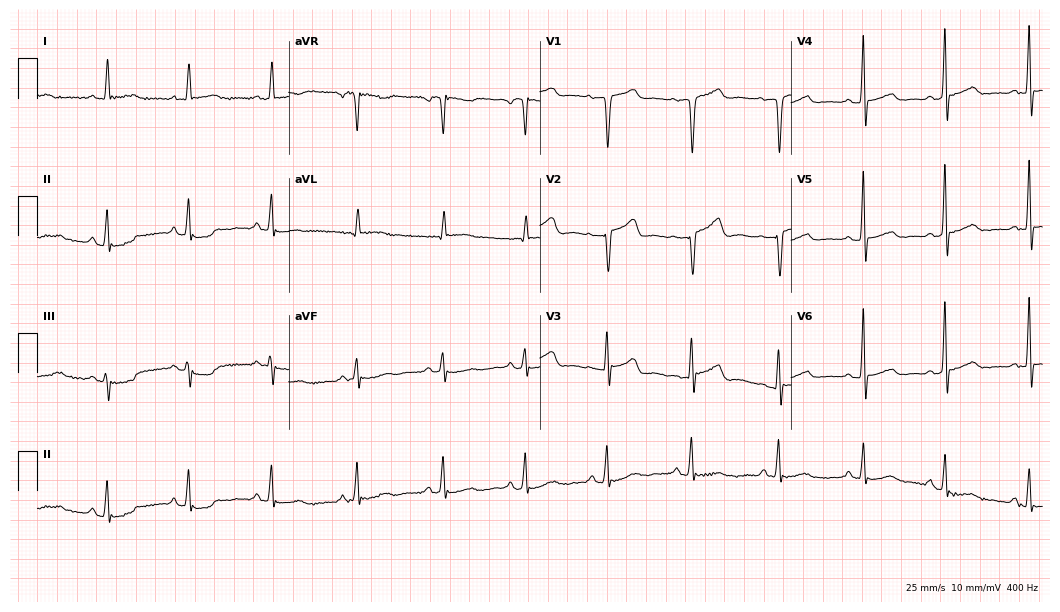
12-lead ECG from a female, 59 years old. Screened for six findings — first-degree AV block, right bundle branch block, left bundle branch block, sinus bradycardia, atrial fibrillation, sinus tachycardia — none is recorded. Only these six findings were labelled.